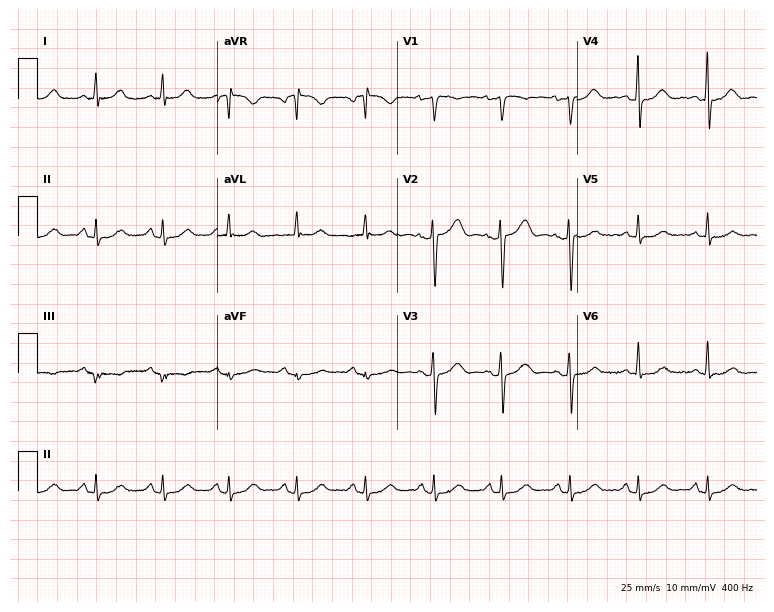
Standard 12-lead ECG recorded from a female patient, 58 years old. None of these six findings is recorded: first-degree AV block, right bundle branch block, left bundle branch block, sinus bradycardia, atrial fibrillation, sinus tachycardia. Only these six findings were labelled.